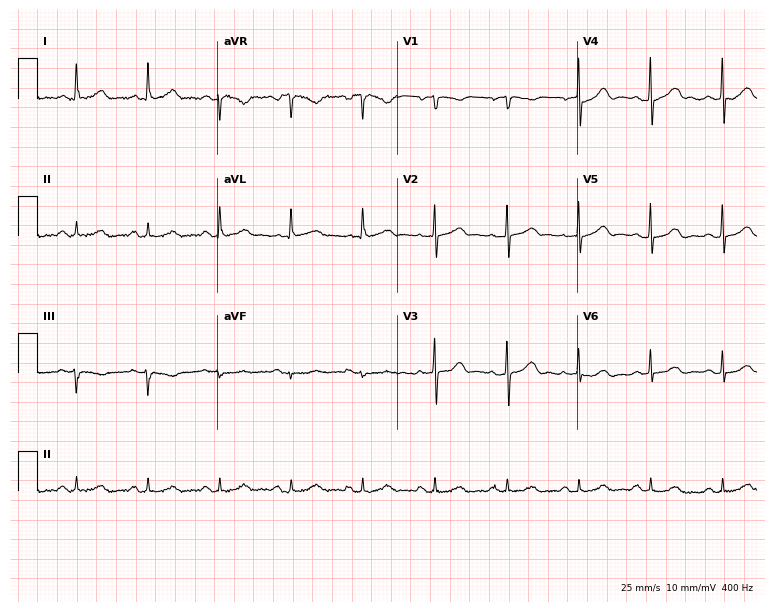
Electrocardiogram (7.3-second recording at 400 Hz), a woman, 74 years old. Overall reading on record: normal ECG.